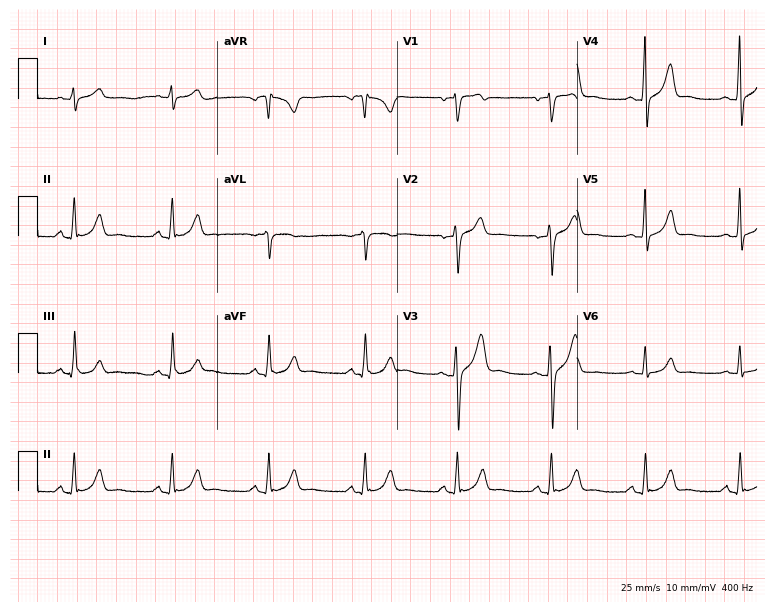
12-lead ECG (7.3-second recording at 400 Hz) from a male, 39 years old. Labelled as a normal ECG.